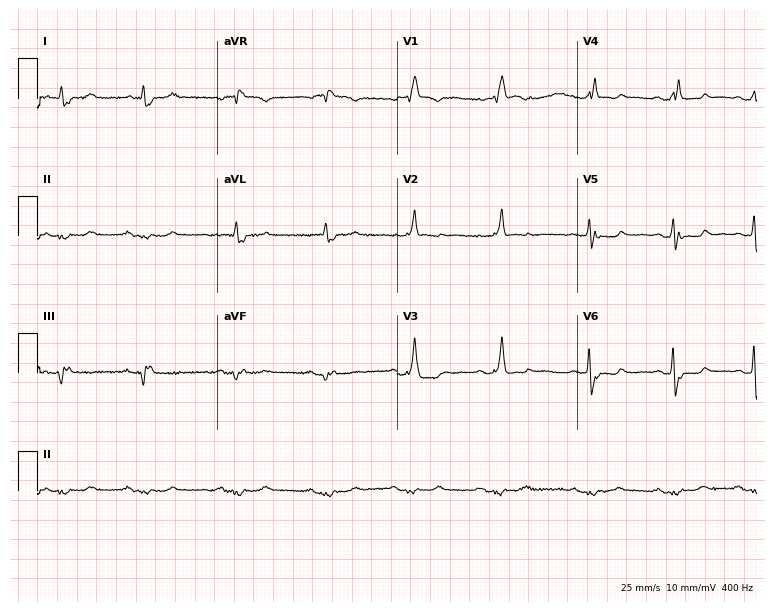
Standard 12-lead ECG recorded from a male, 78 years old (7.3-second recording at 400 Hz). None of these six findings is recorded: first-degree AV block, right bundle branch block, left bundle branch block, sinus bradycardia, atrial fibrillation, sinus tachycardia.